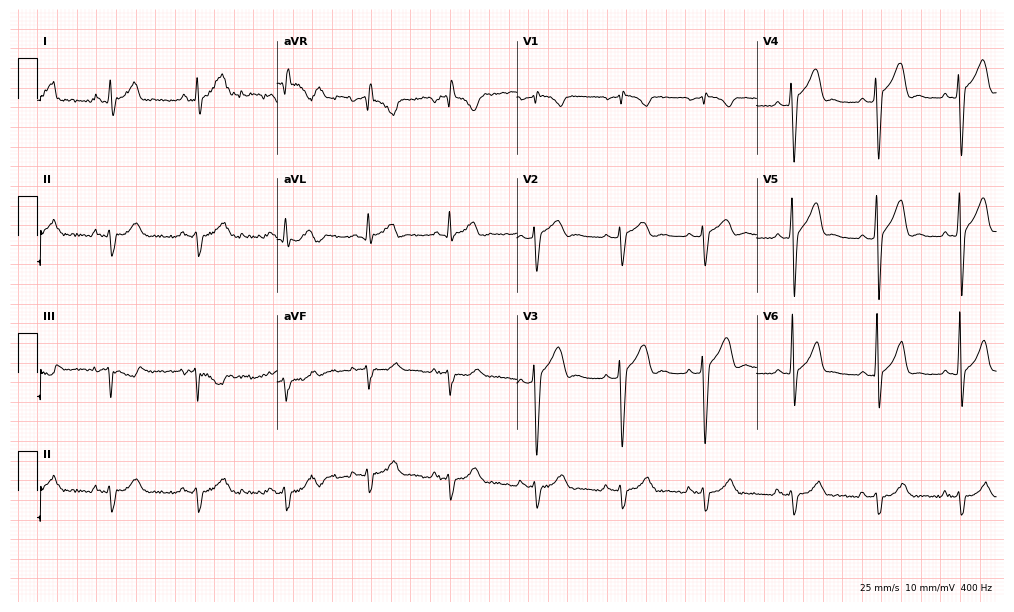
Standard 12-lead ECG recorded from a 23-year-old male. None of these six findings is recorded: first-degree AV block, right bundle branch block, left bundle branch block, sinus bradycardia, atrial fibrillation, sinus tachycardia. Other findings, if any, are not listed.